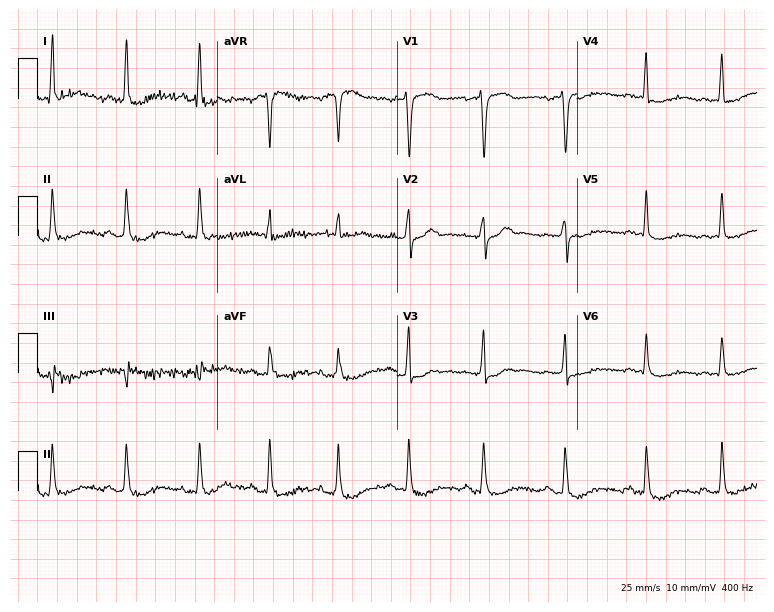
12-lead ECG from a 48-year-old man. No first-degree AV block, right bundle branch block (RBBB), left bundle branch block (LBBB), sinus bradycardia, atrial fibrillation (AF) or sinus tachycardia recorded for this tracing. Findings outside these six are not listed.